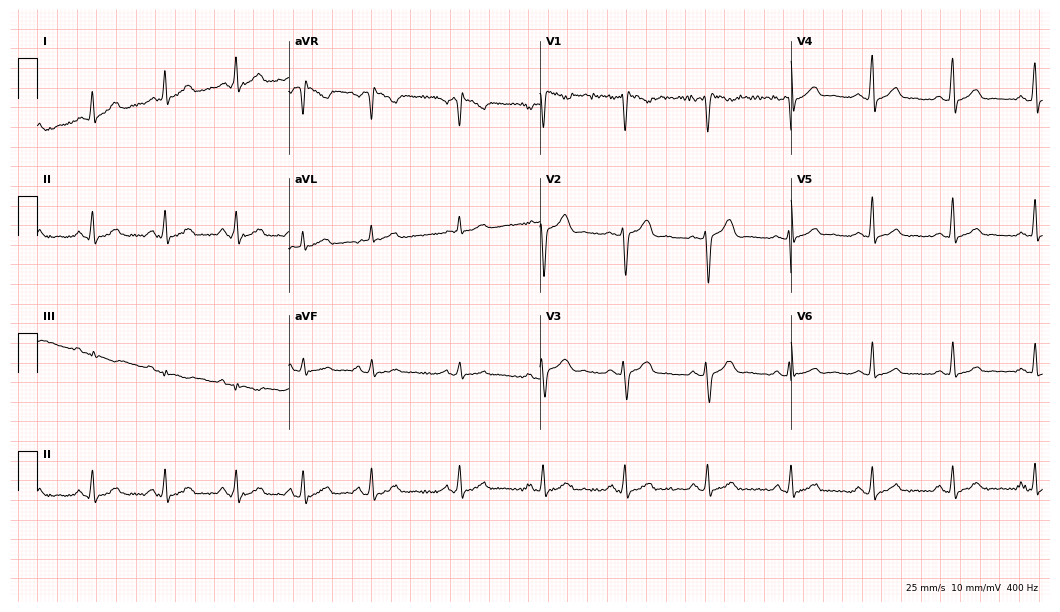
12-lead ECG (10.2-second recording at 400 Hz) from a 35-year-old male. Labelled as a normal ECG.